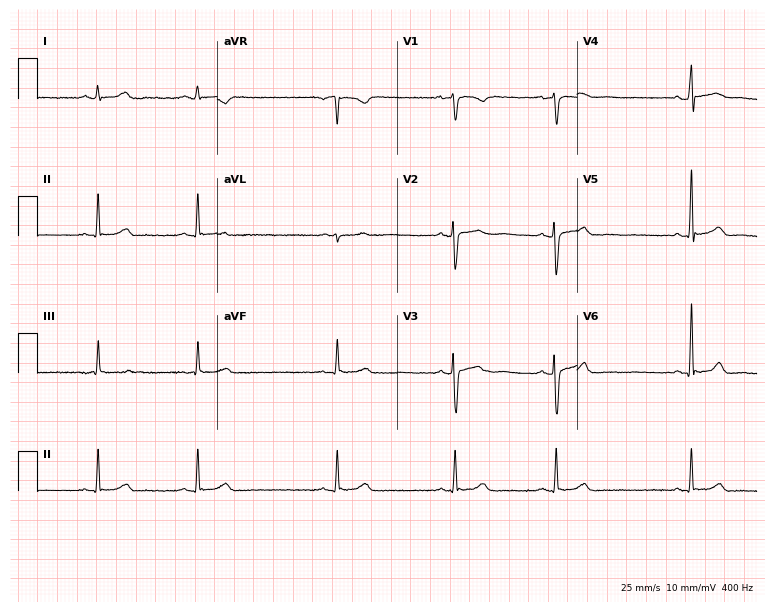
Standard 12-lead ECG recorded from a female, 22 years old. Read as a normal ECG.